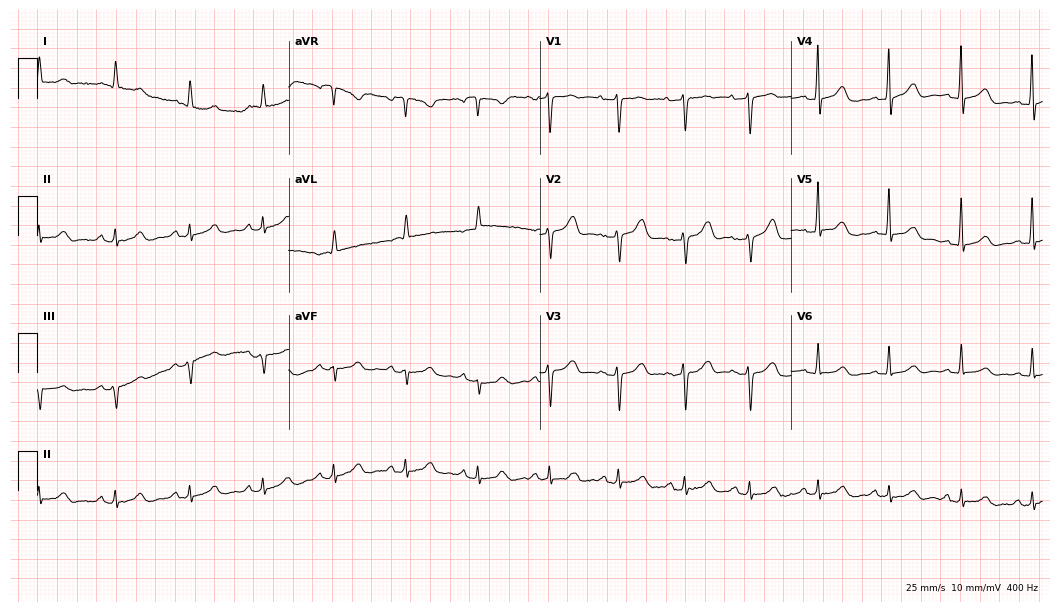
Resting 12-lead electrocardiogram. Patient: a female, 81 years old. Read as a normal ECG.